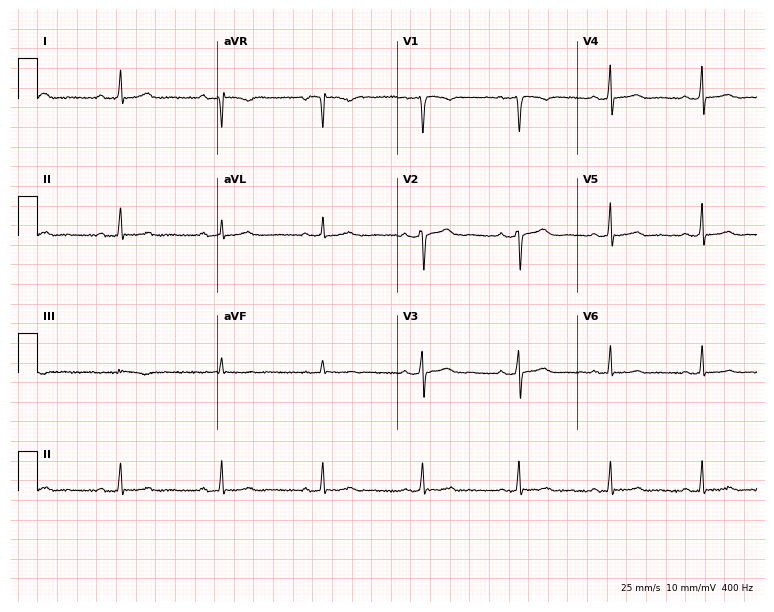
ECG (7.3-second recording at 400 Hz) — a 42-year-old female. Screened for six findings — first-degree AV block, right bundle branch block, left bundle branch block, sinus bradycardia, atrial fibrillation, sinus tachycardia — none is recorded.